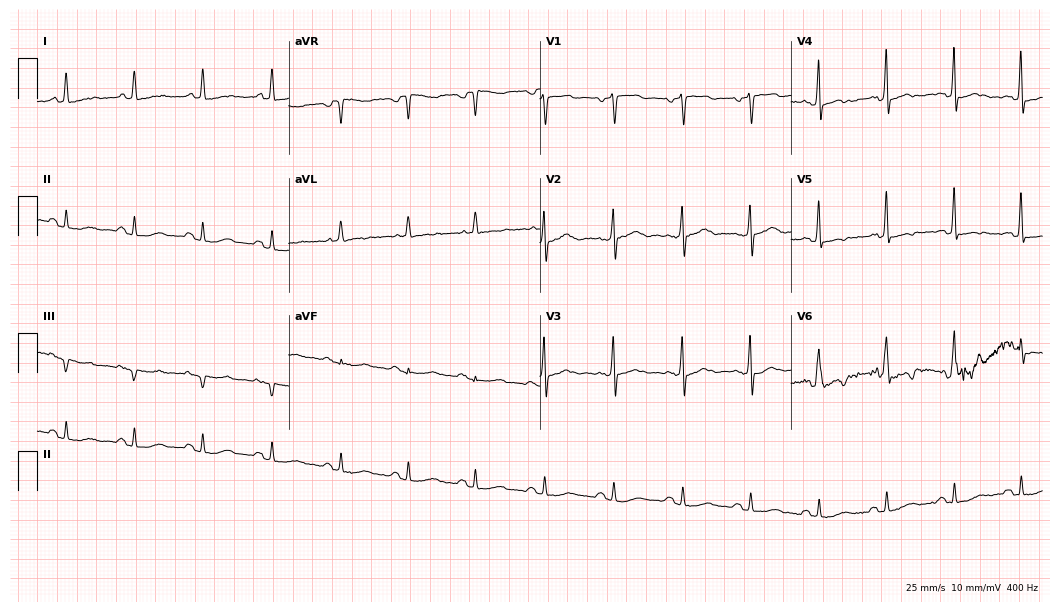
ECG (10.2-second recording at 400 Hz) — an 81-year-old female. Screened for six findings — first-degree AV block, right bundle branch block, left bundle branch block, sinus bradycardia, atrial fibrillation, sinus tachycardia — none is recorded. Other findings, if any, are not listed.